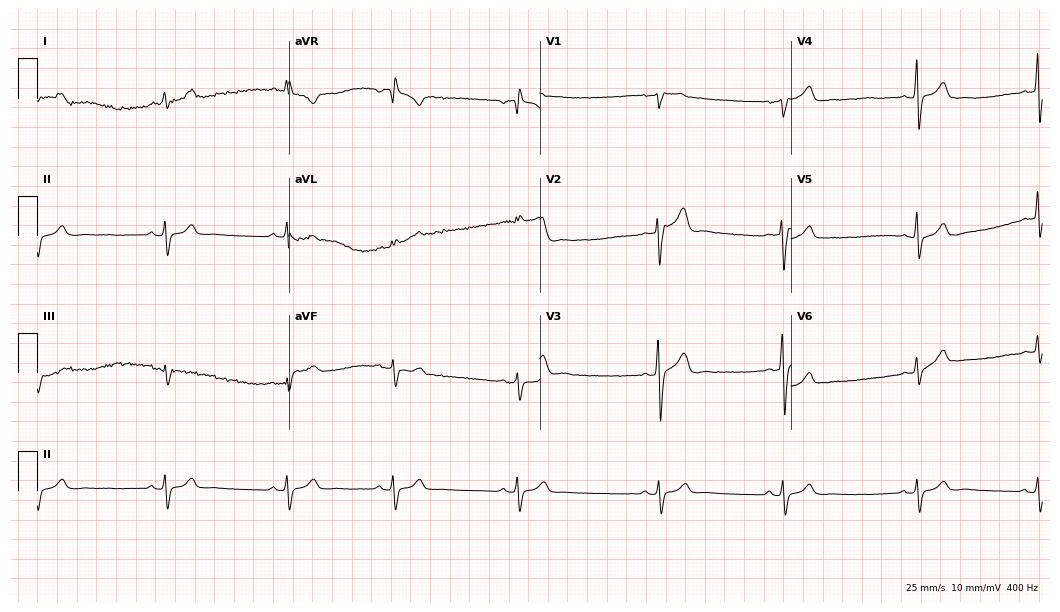
Standard 12-lead ECG recorded from a male patient, 25 years old. None of these six findings is recorded: first-degree AV block, right bundle branch block, left bundle branch block, sinus bradycardia, atrial fibrillation, sinus tachycardia. Findings outside these six are not listed.